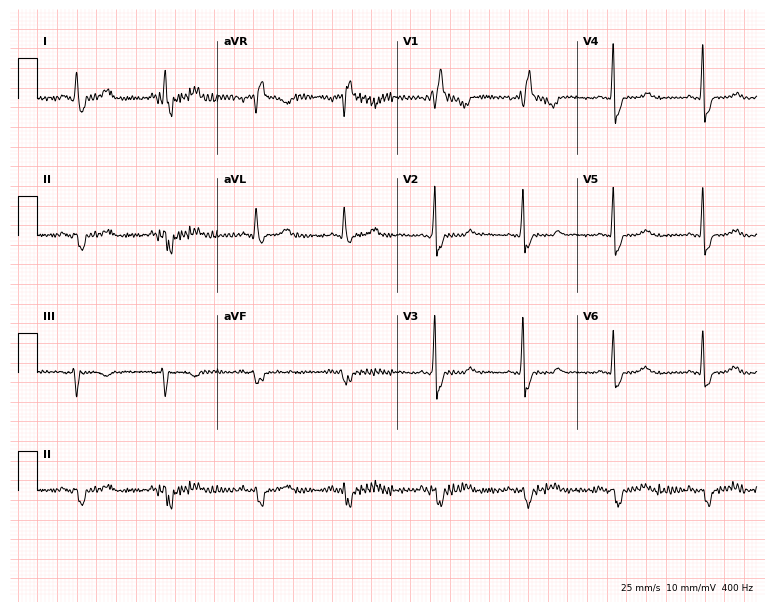
Resting 12-lead electrocardiogram. Patient: a 52-year-old woman. The tracing shows right bundle branch block.